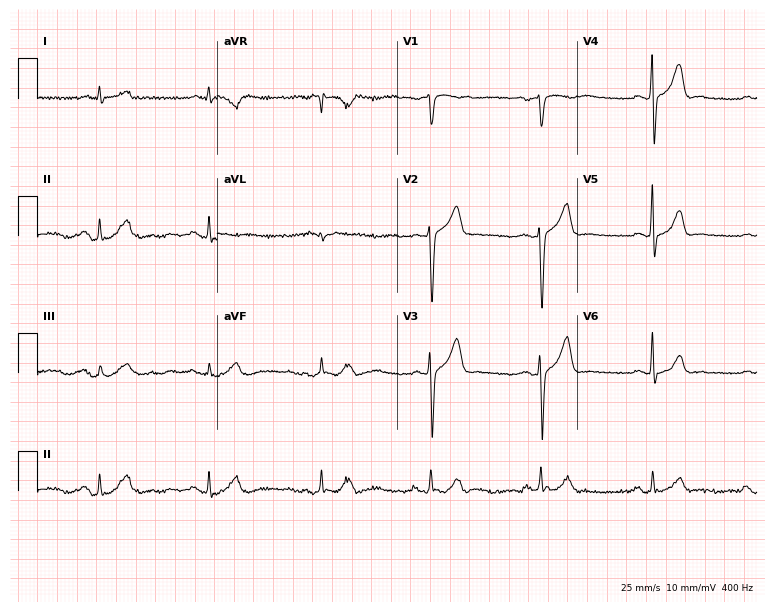
Electrocardiogram, a 43-year-old male patient. Overall reading on record: normal ECG.